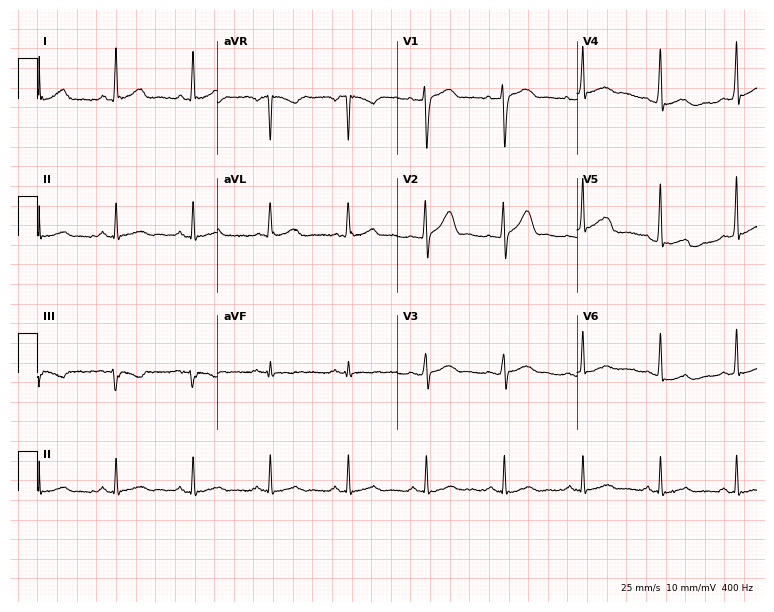
12-lead ECG from a 31-year-old male. No first-degree AV block, right bundle branch block (RBBB), left bundle branch block (LBBB), sinus bradycardia, atrial fibrillation (AF) or sinus tachycardia recorded for this tracing. Only these six findings were labelled.